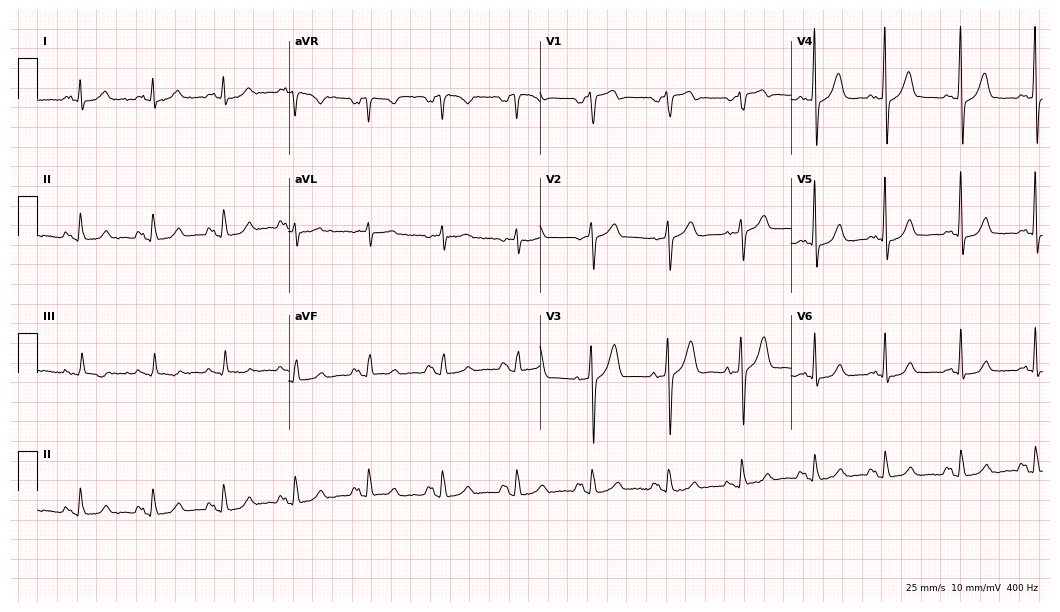
12-lead ECG from a man, 74 years old (10.2-second recording at 400 Hz). No first-degree AV block, right bundle branch block, left bundle branch block, sinus bradycardia, atrial fibrillation or sinus tachycardia recorded for this tracing.